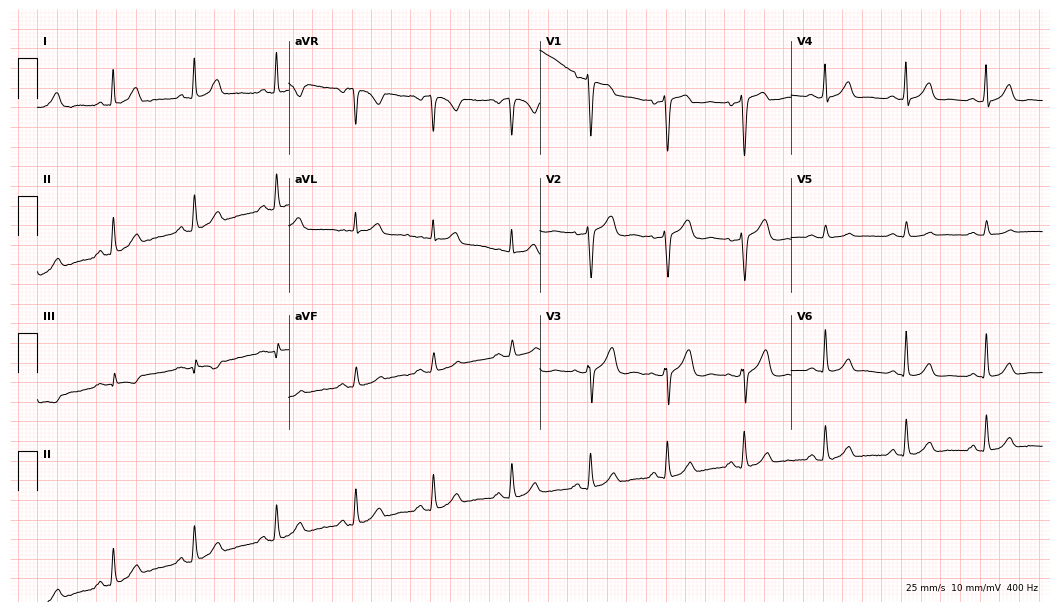
Electrocardiogram (10.2-second recording at 400 Hz), a 54-year-old female patient. Overall reading on record: normal ECG.